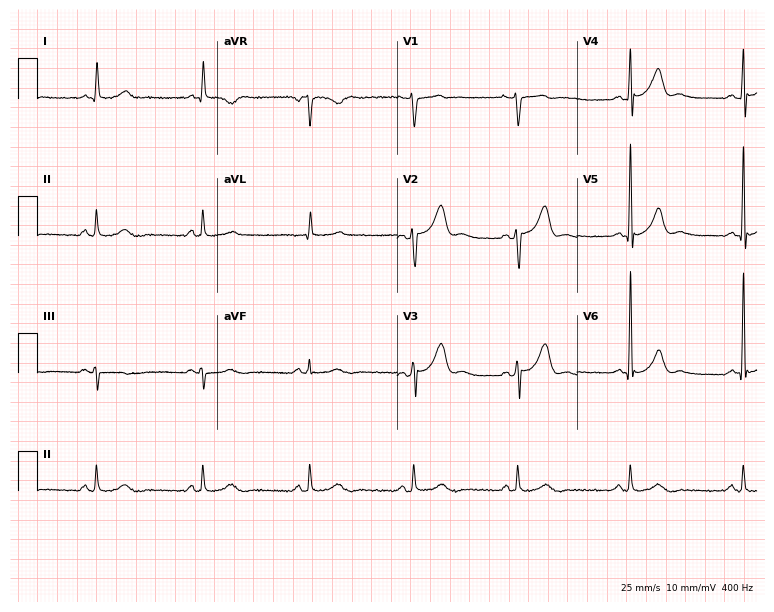
ECG — a man, 65 years old. Labelled as a normal ECG.